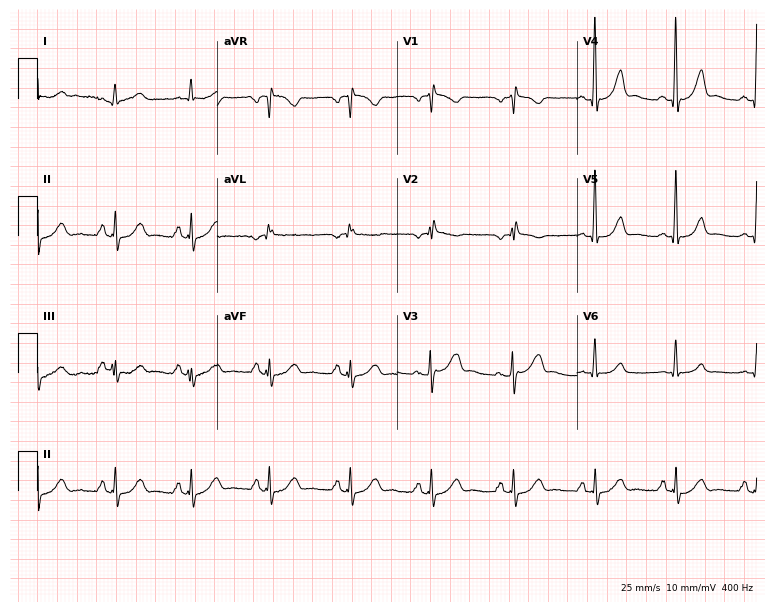
Electrocardiogram (7.3-second recording at 400 Hz), a 63-year-old male. Of the six screened findings (first-degree AV block, right bundle branch block (RBBB), left bundle branch block (LBBB), sinus bradycardia, atrial fibrillation (AF), sinus tachycardia), none is recorded.